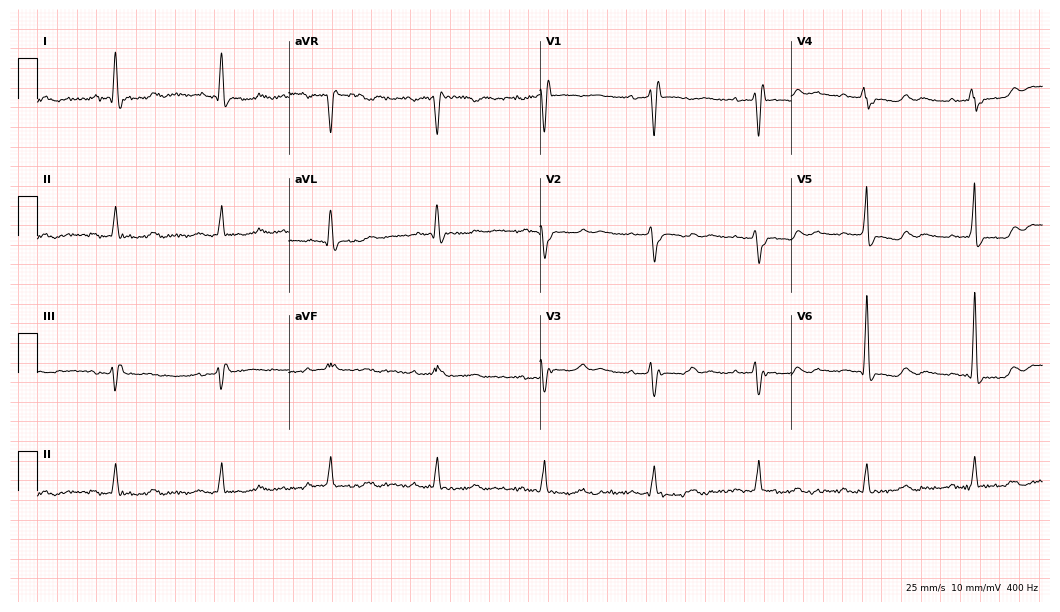
12-lead ECG (10.2-second recording at 400 Hz) from an 82-year-old woman. Findings include right bundle branch block.